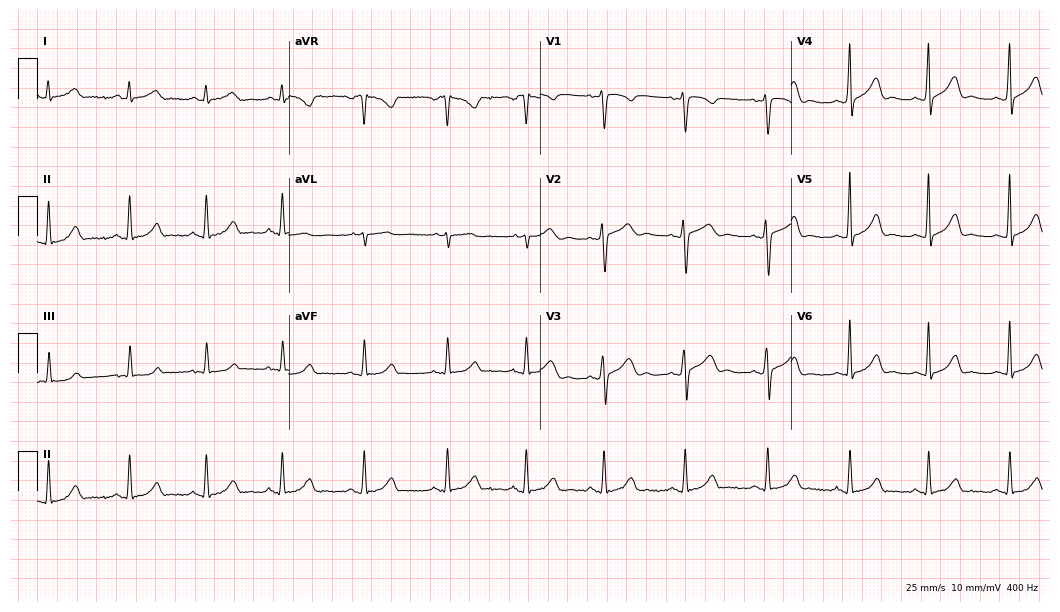
Electrocardiogram (10.2-second recording at 400 Hz), a female, 40 years old. Overall reading on record: normal ECG.